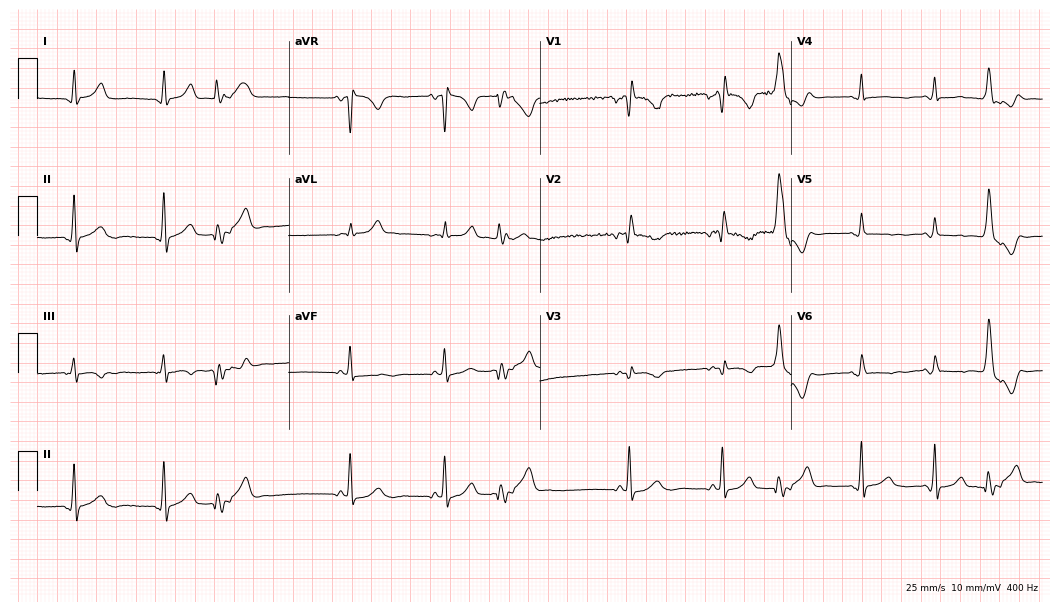
12-lead ECG from a 69-year-old female. Screened for six findings — first-degree AV block, right bundle branch block, left bundle branch block, sinus bradycardia, atrial fibrillation, sinus tachycardia — none is recorded. Findings outside these six are not listed.